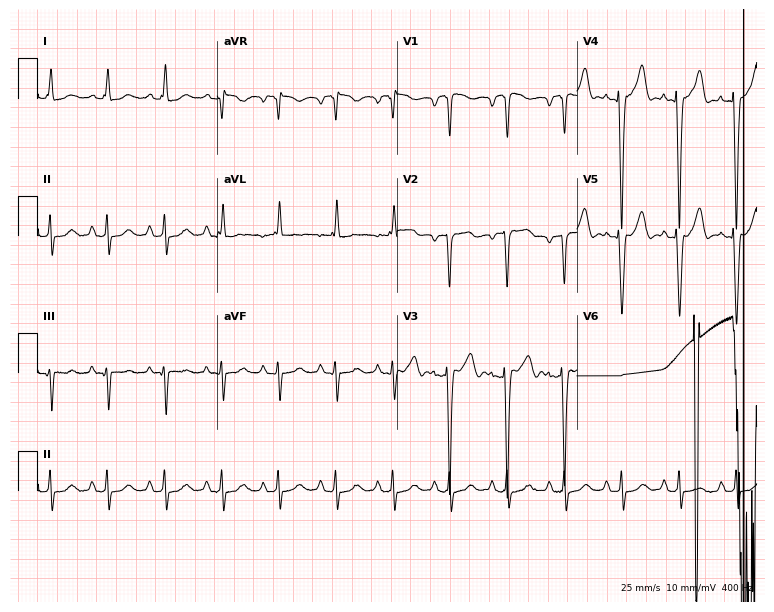
Electrocardiogram, an 82-year-old man. Interpretation includes sinus tachycardia (a sinus rate of 100 beats per minute or more).